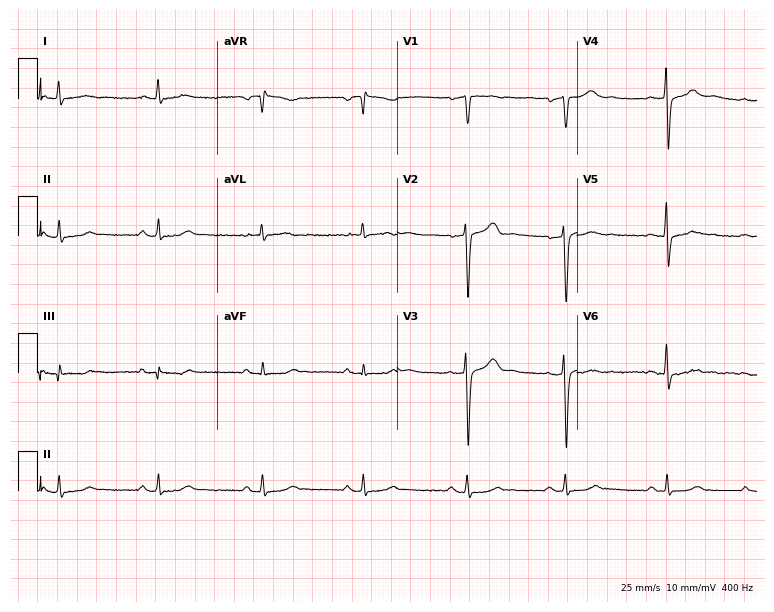
Standard 12-lead ECG recorded from a man, 44 years old. None of these six findings is recorded: first-degree AV block, right bundle branch block (RBBB), left bundle branch block (LBBB), sinus bradycardia, atrial fibrillation (AF), sinus tachycardia.